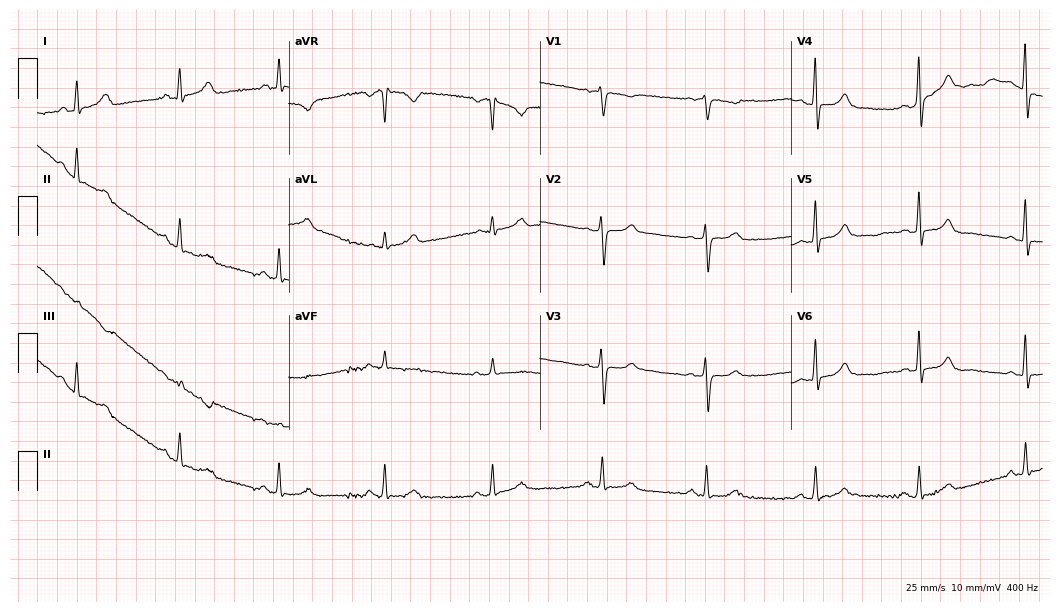
ECG — a 67-year-old female. Labelled as a normal ECG.